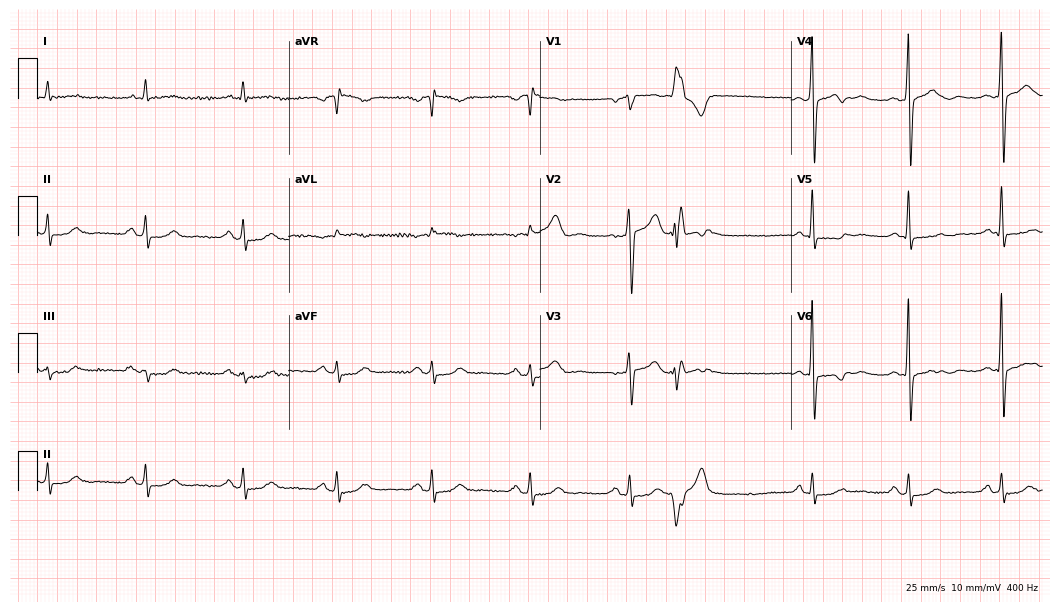
Standard 12-lead ECG recorded from a man, 56 years old (10.2-second recording at 400 Hz). None of these six findings is recorded: first-degree AV block, right bundle branch block (RBBB), left bundle branch block (LBBB), sinus bradycardia, atrial fibrillation (AF), sinus tachycardia.